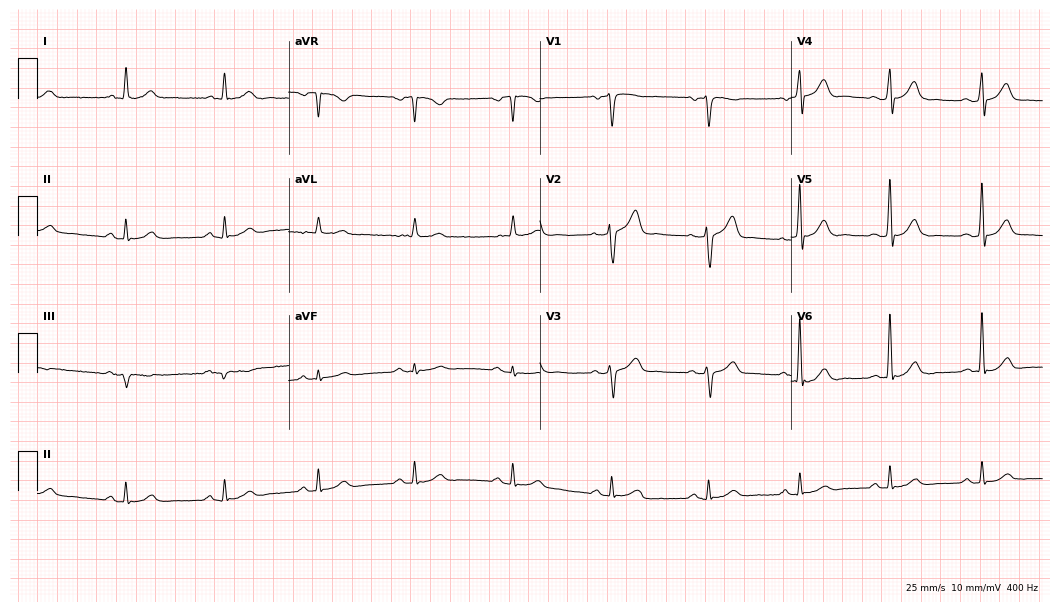
Standard 12-lead ECG recorded from a male, 55 years old. None of these six findings is recorded: first-degree AV block, right bundle branch block, left bundle branch block, sinus bradycardia, atrial fibrillation, sinus tachycardia. Other findings, if any, are not listed.